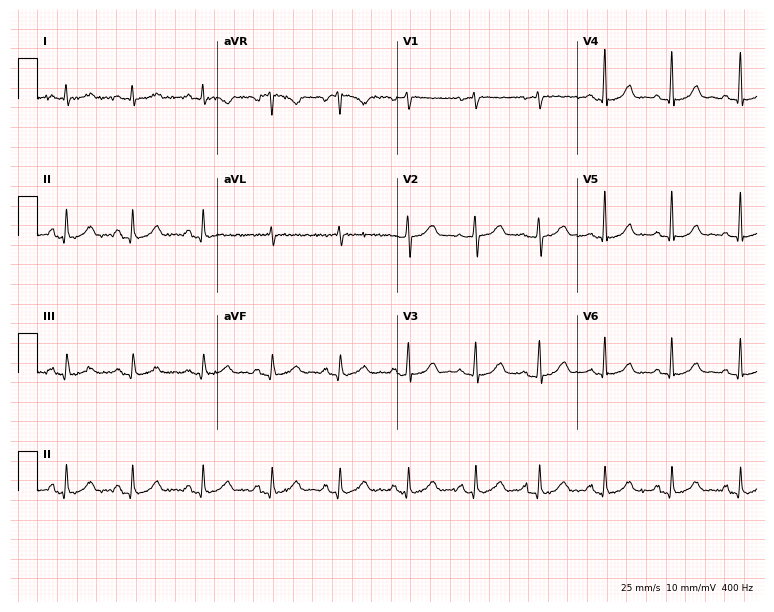
12-lead ECG from a 49-year-old woman. No first-degree AV block, right bundle branch block (RBBB), left bundle branch block (LBBB), sinus bradycardia, atrial fibrillation (AF) or sinus tachycardia recorded for this tracing. Only these six findings were labelled.